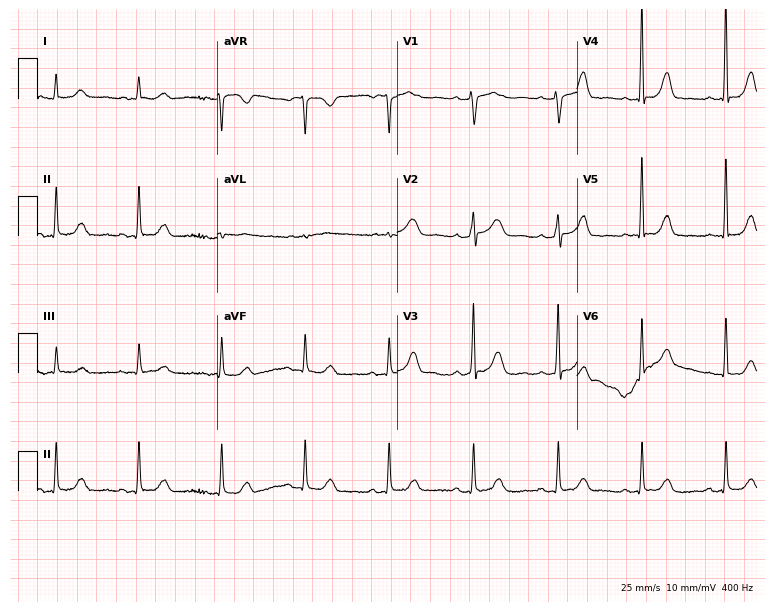
12-lead ECG from a 54-year-old female patient. No first-degree AV block, right bundle branch block, left bundle branch block, sinus bradycardia, atrial fibrillation or sinus tachycardia recorded for this tracing.